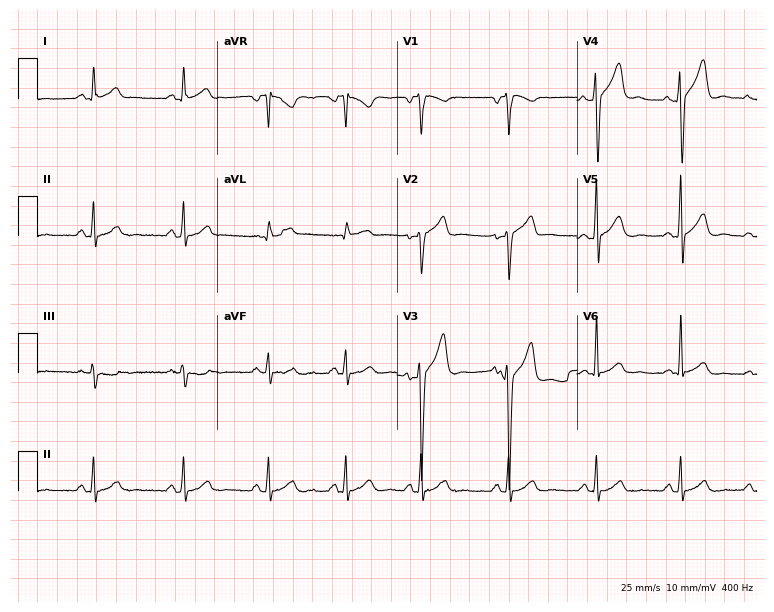
Standard 12-lead ECG recorded from a man, 38 years old. Read as a normal ECG.